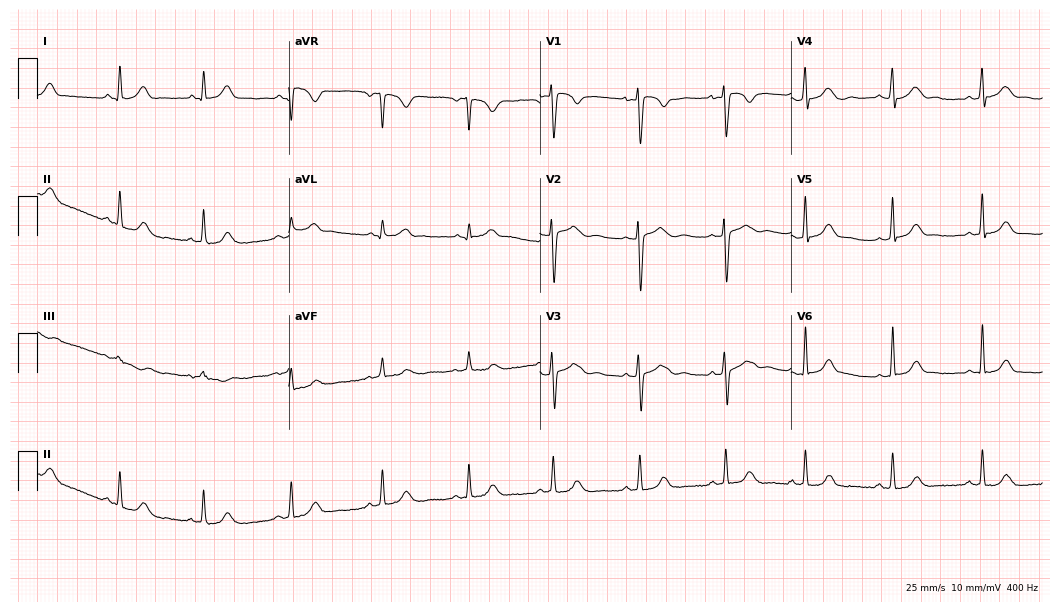
Electrocardiogram (10.2-second recording at 400 Hz), a 24-year-old female patient. Of the six screened findings (first-degree AV block, right bundle branch block (RBBB), left bundle branch block (LBBB), sinus bradycardia, atrial fibrillation (AF), sinus tachycardia), none is recorded. Other findings, if any, are not listed.